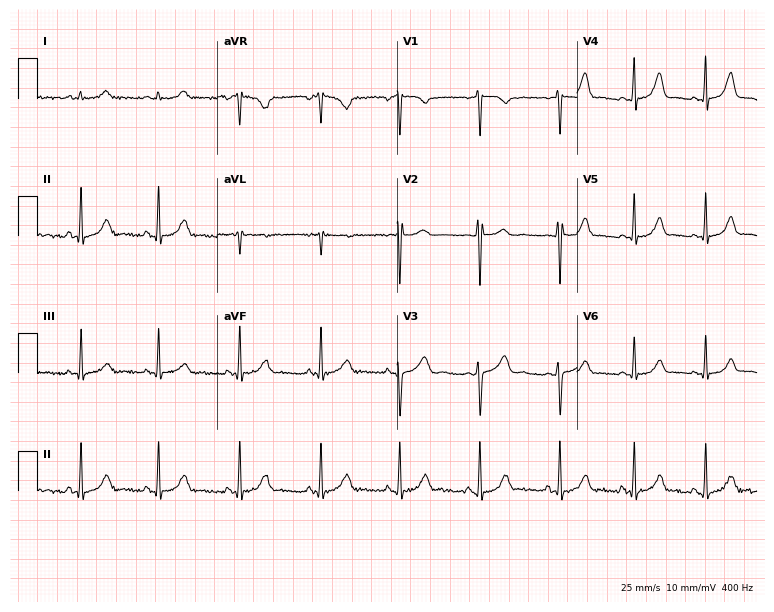
Standard 12-lead ECG recorded from a female, 28 years old. None of these six findings is recorded: first-degree AV block, right bundle branch block, left bundle branch block, sinus bradycardia, atrial fibrillation, sinus tachycardia. Only these six findings were labelled.